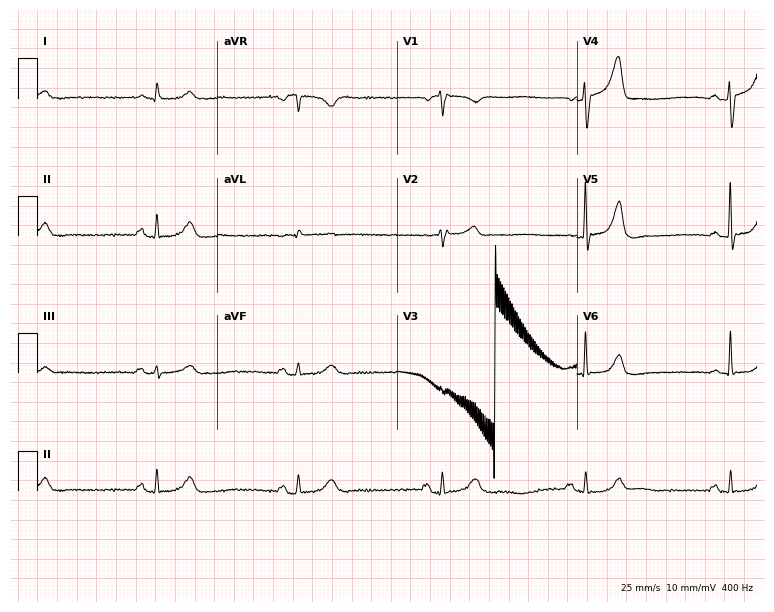
12-lead ECG from a male, 72 years old. Shows sinus bradycardia (a sinus rate of 50 beats per minute or less).